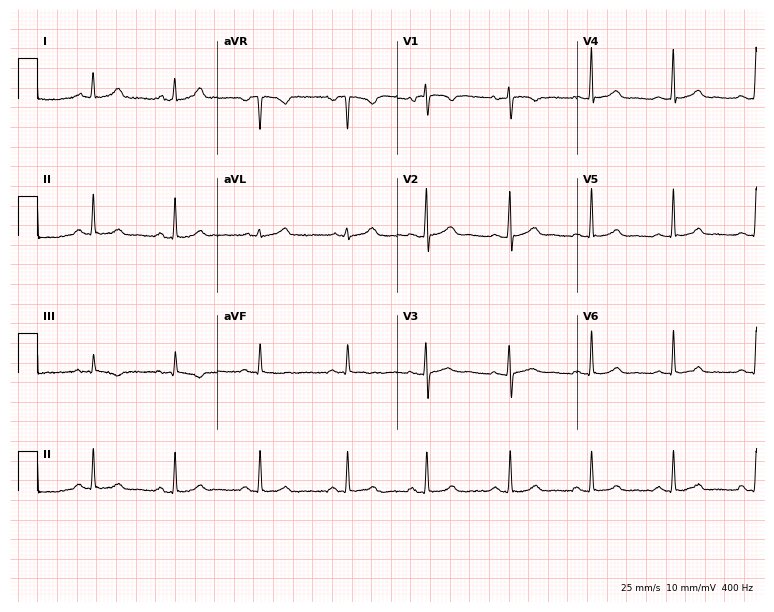
Standard 12-lead ECG recorded from a 23-year-old female. Read as a normal ECG.